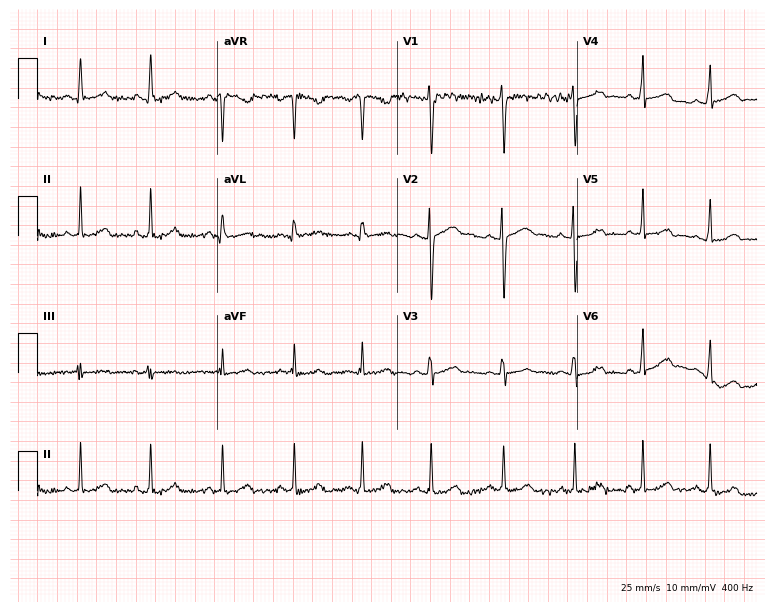
12-lead ECG from a female, 21 years old. Screened for six findings — first-degree AV block, right bundle branch block, left bundle branch block, sinus bradycardia, atrial fibrillation, sinus tachycardia — none is recorded. Other findings, if any, are not listed.